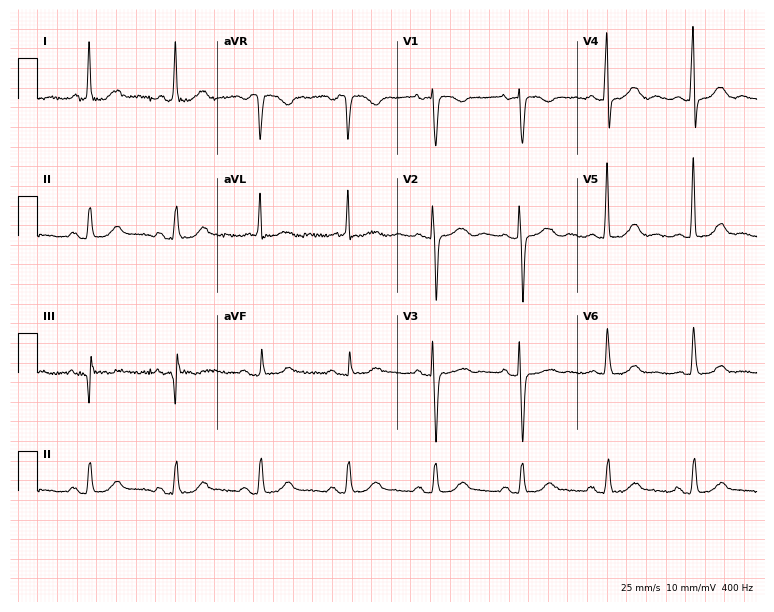
12-lead ECG from a female, 80 years old (7.3-second recording at 400 Hz). Recorded interpretation: within normal limits.